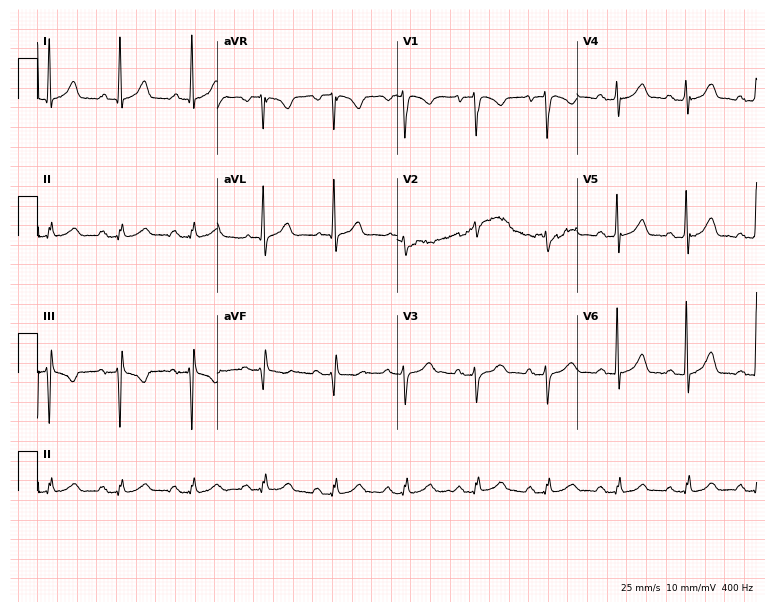
Electrocardiogram, a 55-year-old male patient. Overall reading on record: normal ECG.